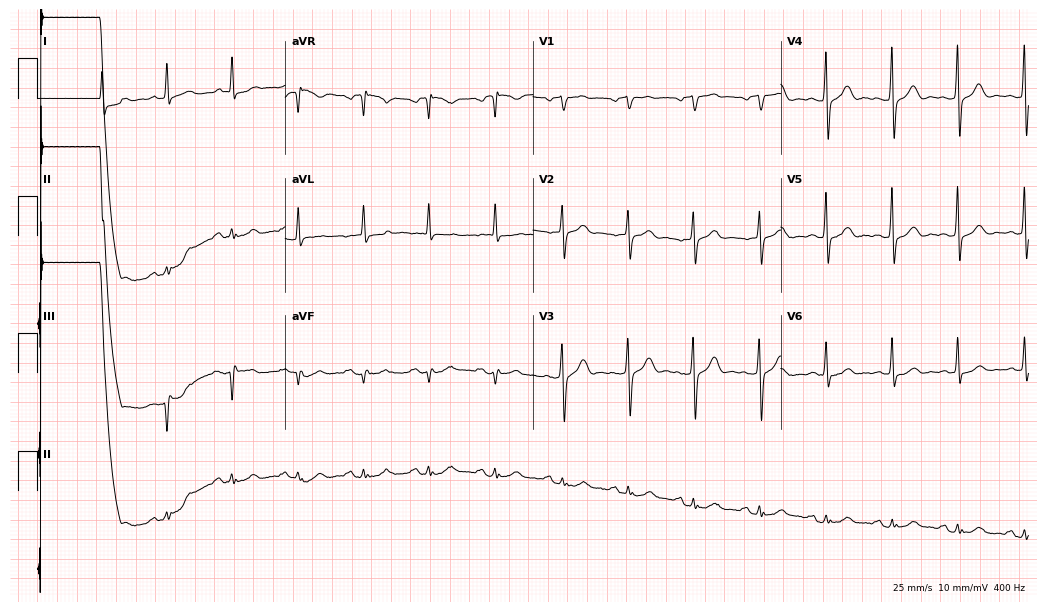
ECG — a male patient, 68 years old. Screened for six findings — first-degree AV block, right bundle branch block, left bundle branch block, sinus bradycardia, atrial fibrillation, sinus tachycardia — none is recorded. Findings outside these six are not listed.